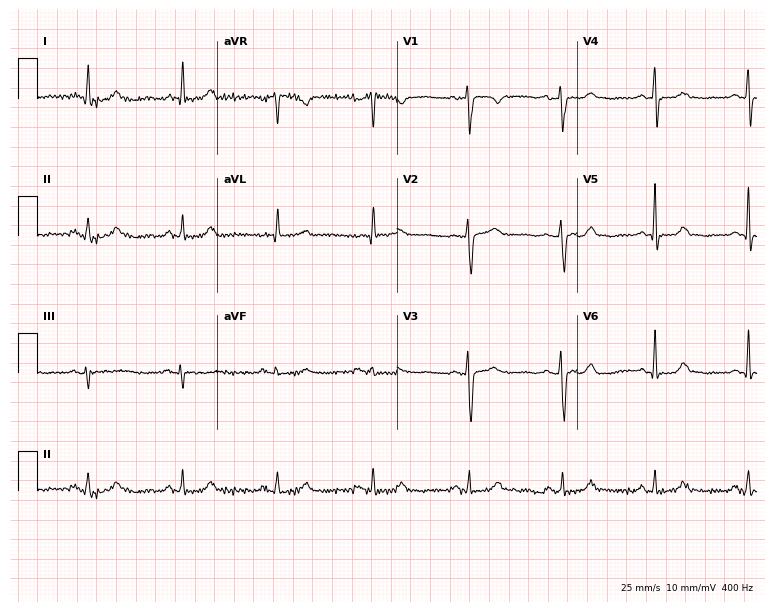
Standard 12-lead ECG recorded from a 62-year-old female (7.3-second recording at 400 Hz). Read as a normal ECG.